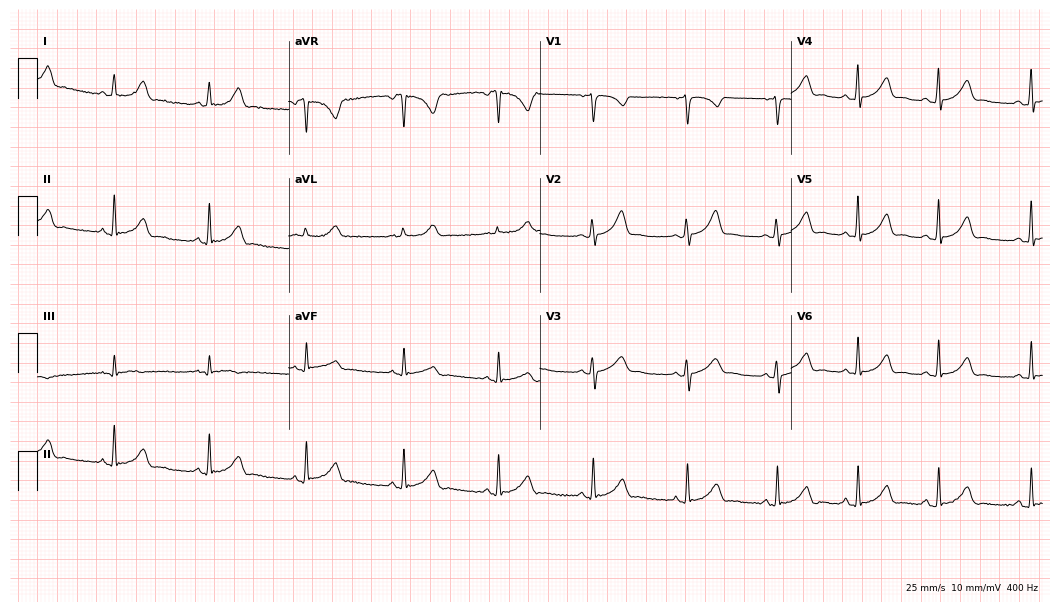
12-lead ECG (10.2-second recording at 400 Hz) from a female patient, 39 years old. Labelled as a normal ECG.